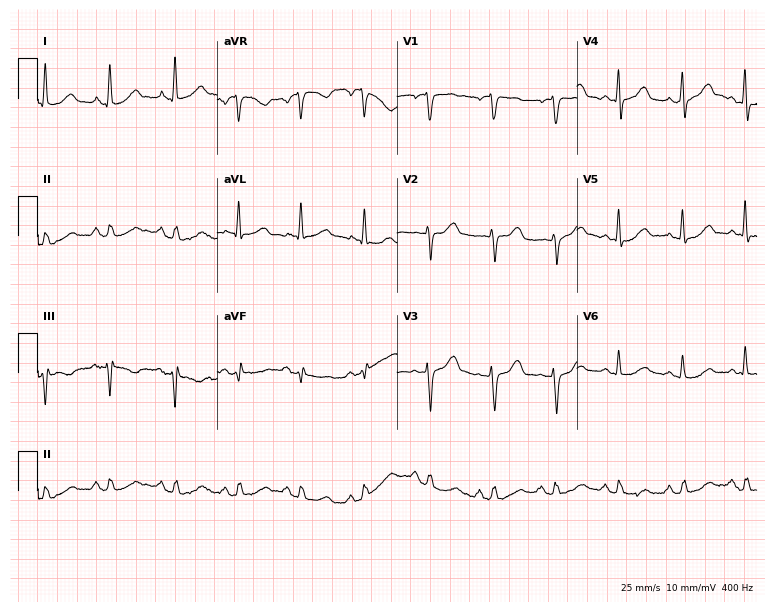
Electrocardiogram, a 64-year-old female. Overall reading on record: normal ECG.